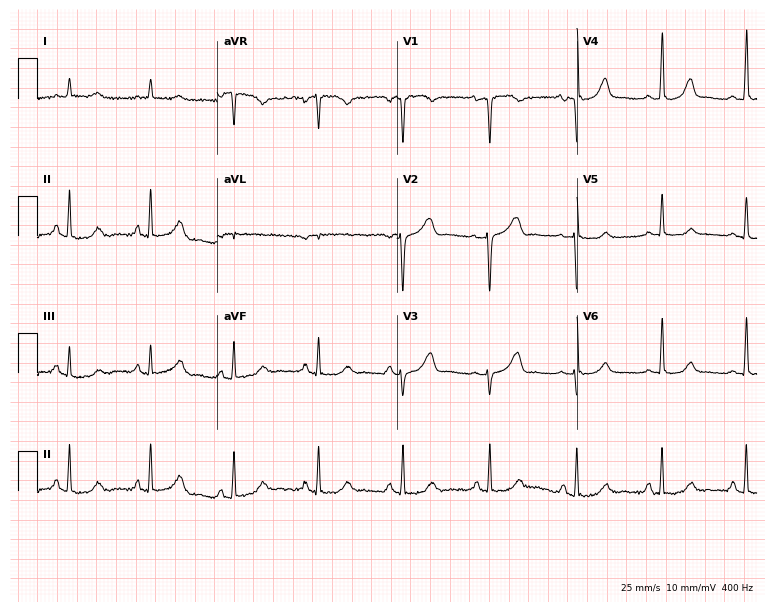
Standard 12-lead ECG recorded from a woman, 53 years old. Read as a normal ECG.